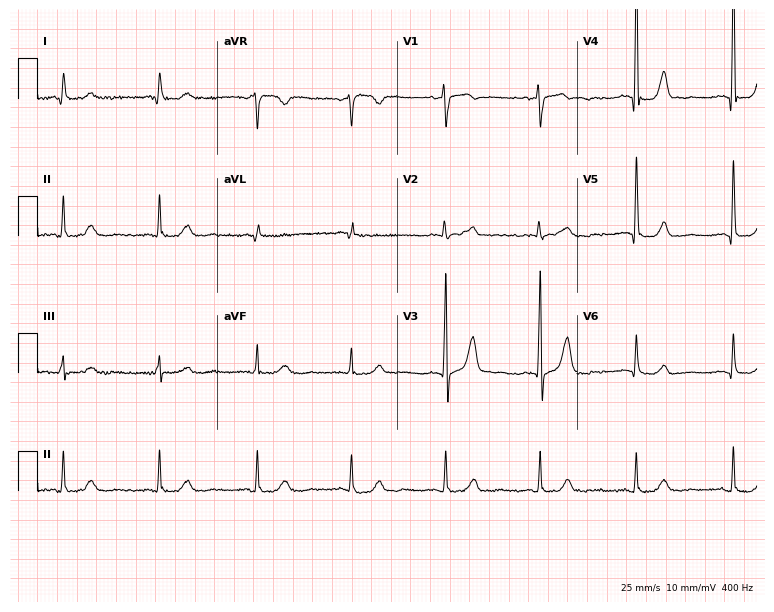
Resting 12-lead electrocardiogram (7.3-second recording at 400 Hz). Patient: a female, 57 years old. Read as a normal ECG.